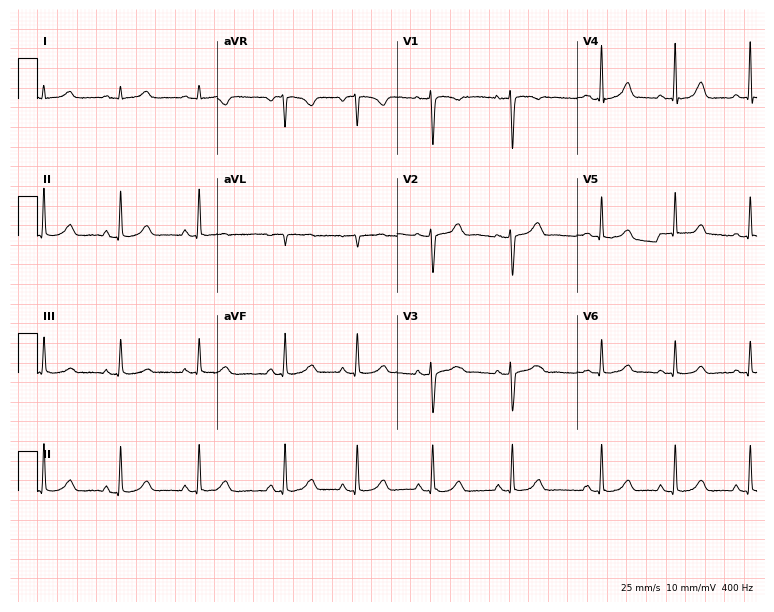
Standard 12-lead ECG recorded from a 34-year-old female. Read as a normal ECG.